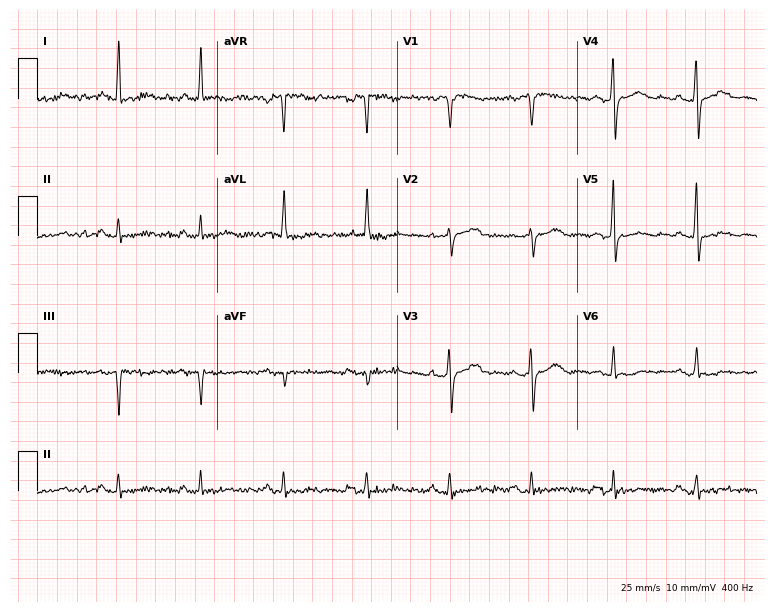
ECG — a 61-year-old woman. Labelled as a normal ECG.